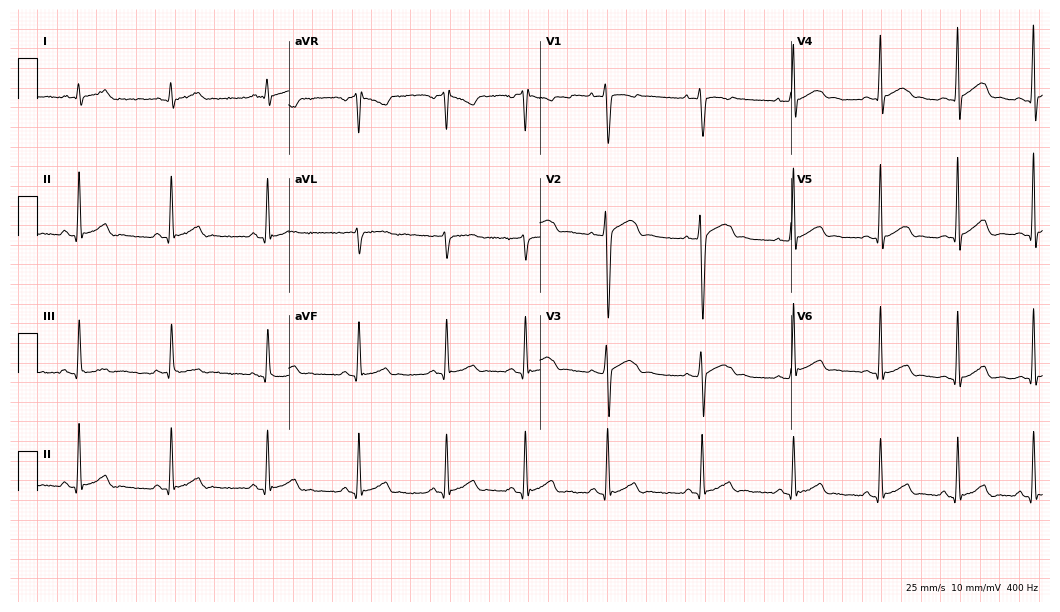
12-lead ECG from a male, 17 years old. Recorded interpretation: within normal limits.